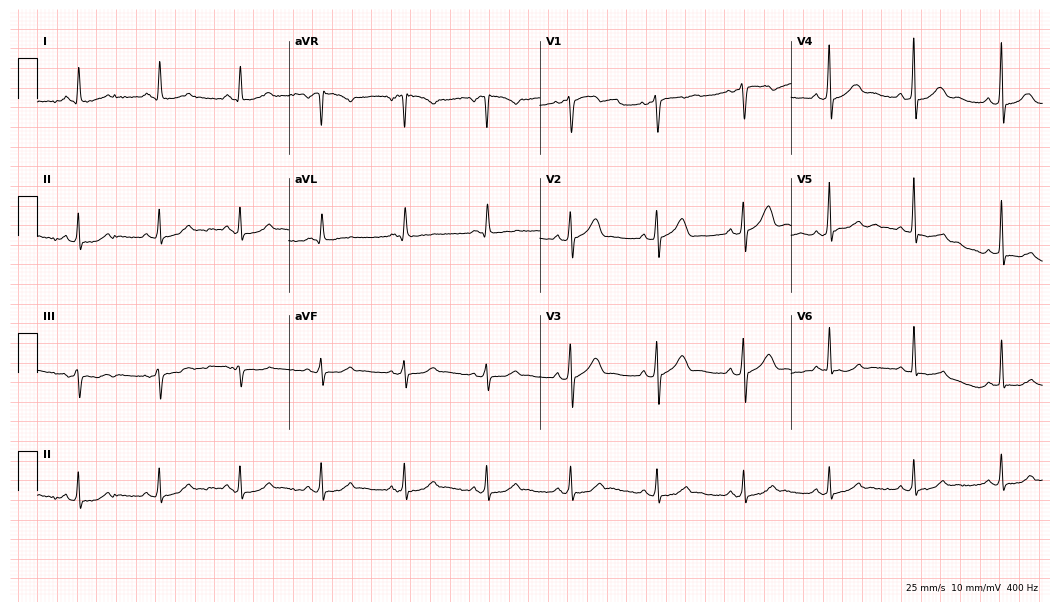
Standard 12-lead ECG recorded from a man, 59 years old. Read as a normal ECG.